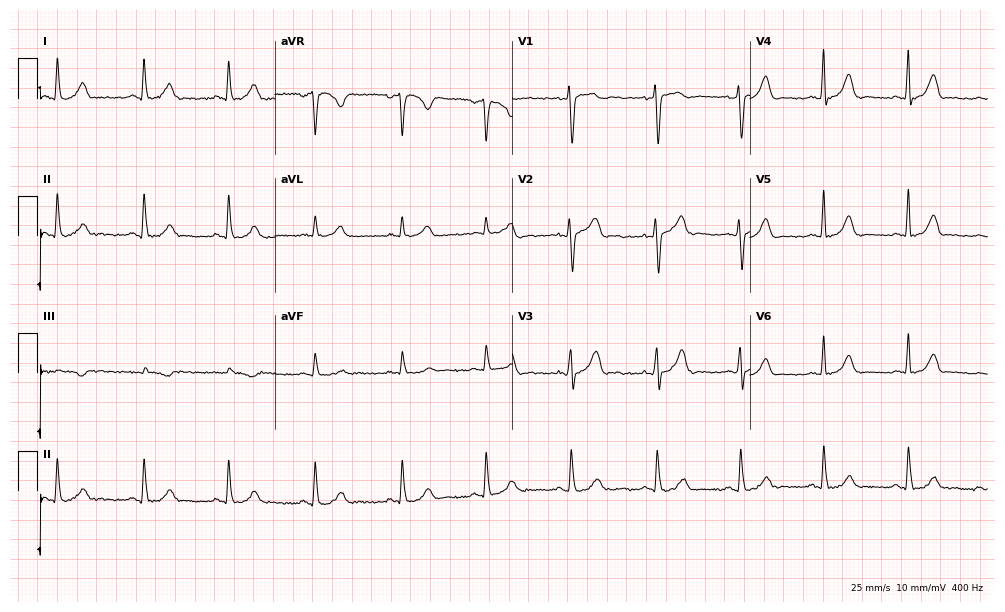
Resting 12-lead electrocardiogram (9.7-second recording at 400 Hz). Patient: a 48-year-old female. Read as a normal ECG.